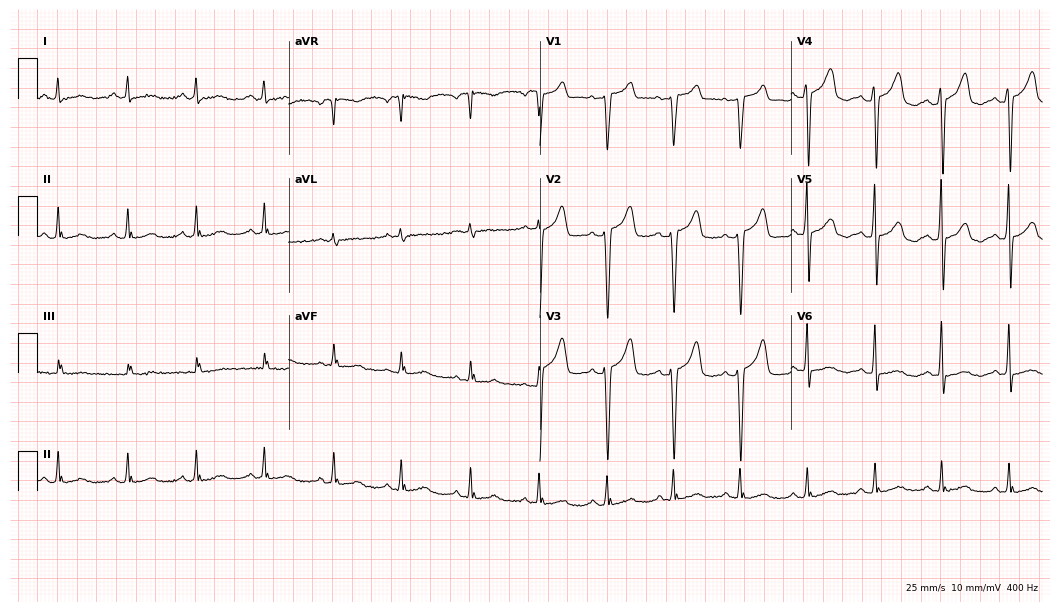
Standard 12-lead ECG recorded from a woman, 42 years old (10.2-second recording at 400 Hz). None of these six findings is recorded: first-degree AV block, right bundle branch block, left bundle branch block, sinus bradycardia, atrial fibrillation, sinus tachycardia.